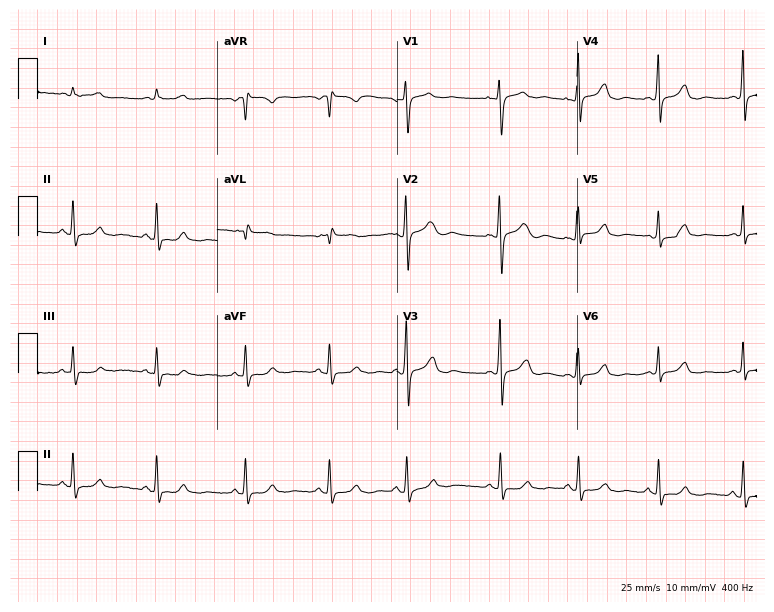
12-lead ECG (7.3-second recording at 400 Hz) from a female patient, 38 years old. Screened for six findings — first-degree AV block, right bundle branch block, left bundle branch block, sinus bradycardia, atrial fibrillation, sinus tachycardia — none is recorded. Findings outside these six are not listed.